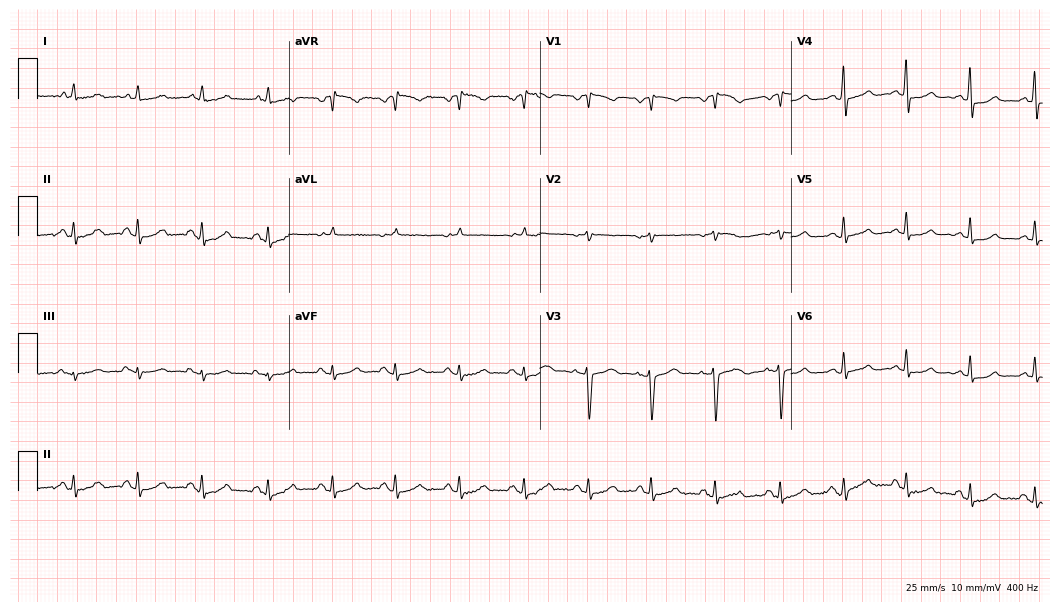
Resting 12-lead electrocardiogram (10.2-second recording at 400 Hz). Patient: a 41-year-old woman. None of these six findings is recorded: first-degree AV block, right bundle branch block, left bundle branch block, sinus bradycardia, atrial fibrillation, sinus tachycardia. Findings outside these six are not listed.